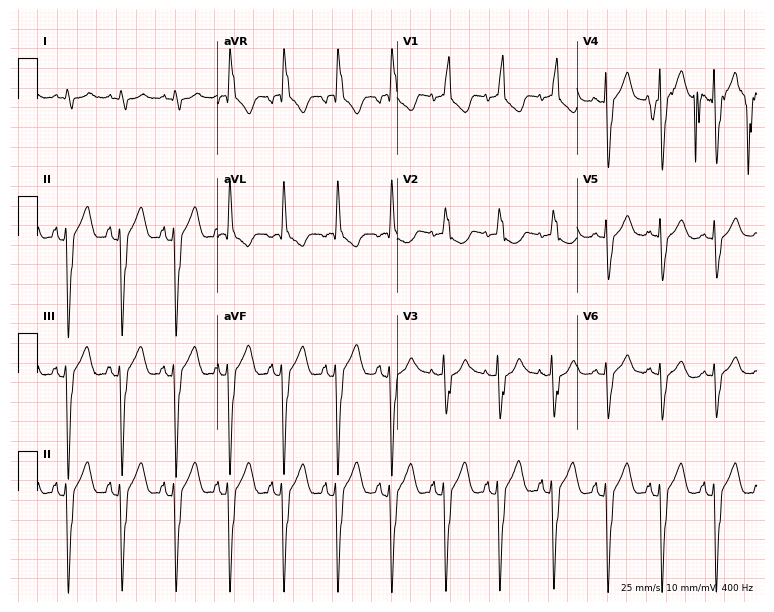
ECG — an 82-year-old female patient. Findings include sinus tachycardia (a sinus rate of 100 beats per minute or more).